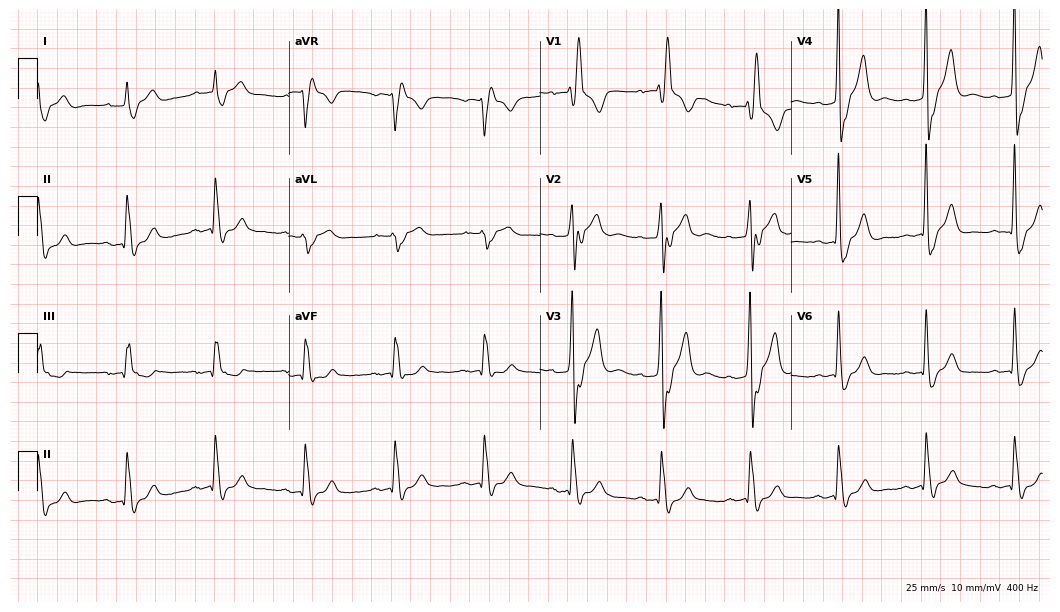
Electrocardiogram, a male patient, 77 years old. Interpretation includes right bundle branch block.